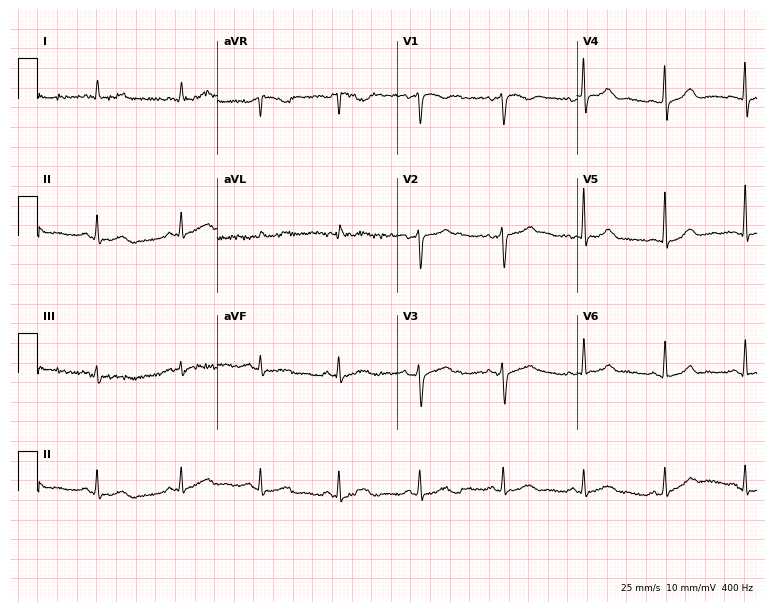
12-lead ECG from a 49-year-old woman. Screened for six findings — first-degree AV block, right bundle branch block, left bundle branch block, sinus bradycardia, atrial fibrillation, sinus tachycardia — none is recorded.